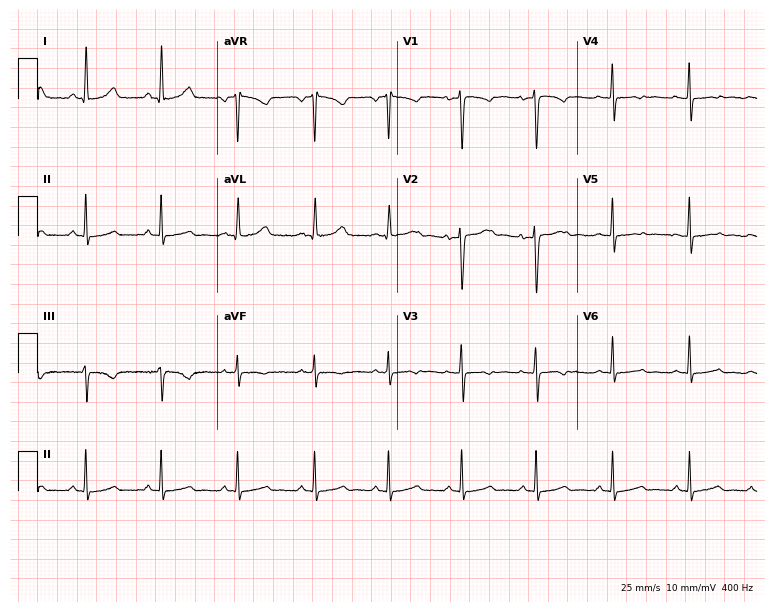
Resting 12-lead electrocardiogram (7.3-second recording at 400 Hz). Patient: a 33-year-old woman. None of these six findings is recorded: first-degree AV block, right bundle branch block, left bundle branch block, sinus bradycardia, atrial fibrillation, sinus tachycardia. Other findings, if any, are not listed.